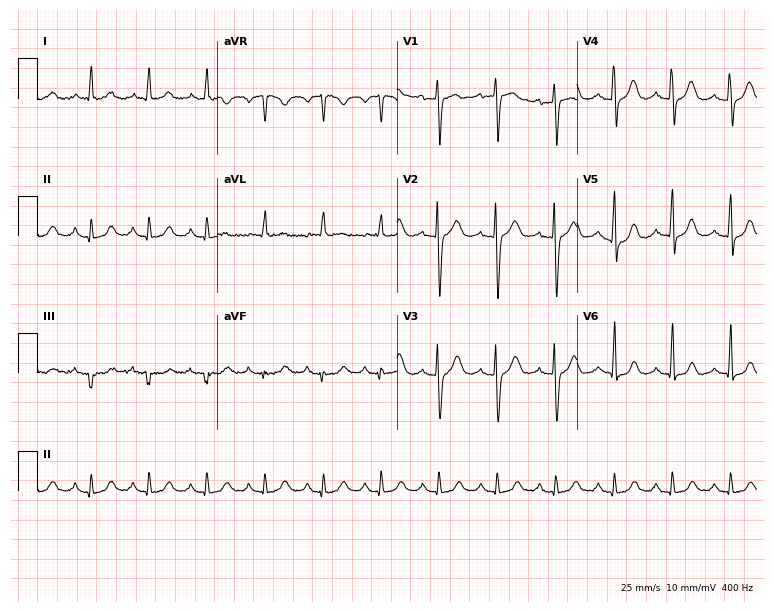
ECG — an 82-year-old female. Findings include sinus tachycardia (a sinus rate of 100 beats per minute or more).